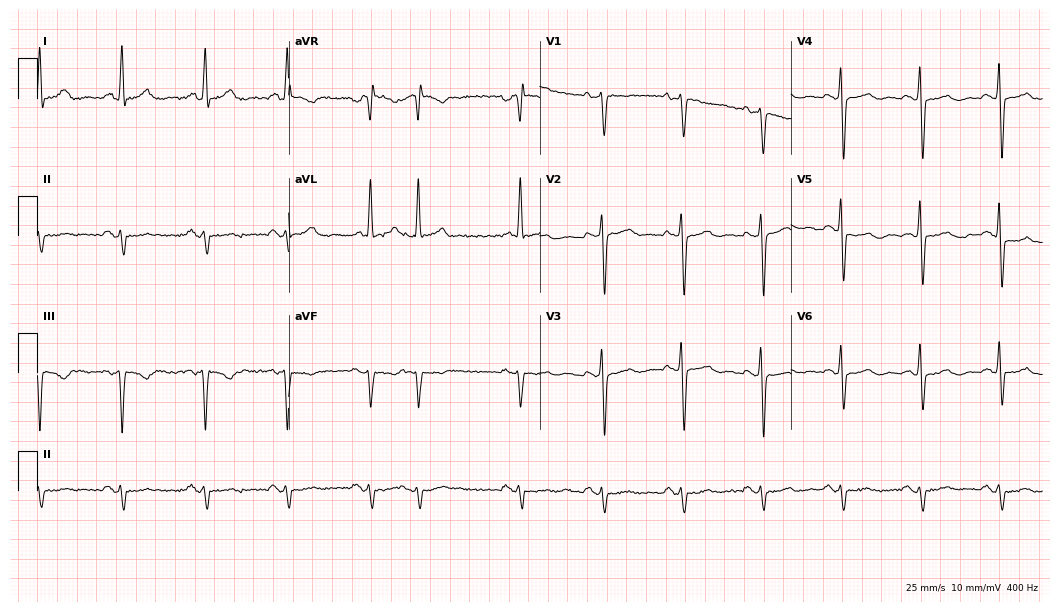
Resting 12-lead electrocardiogram (10.2-second recording at 400 Hz). Patient: a man, 74 years old. None of these six findings is recorded: first-degree AV block, right bundle branch block (RBBB), left bundle branch block (LBBB), sinus bradycardia, atrial fibrillation (AF), sinus tachycardia. Findings outside these six are not listed.